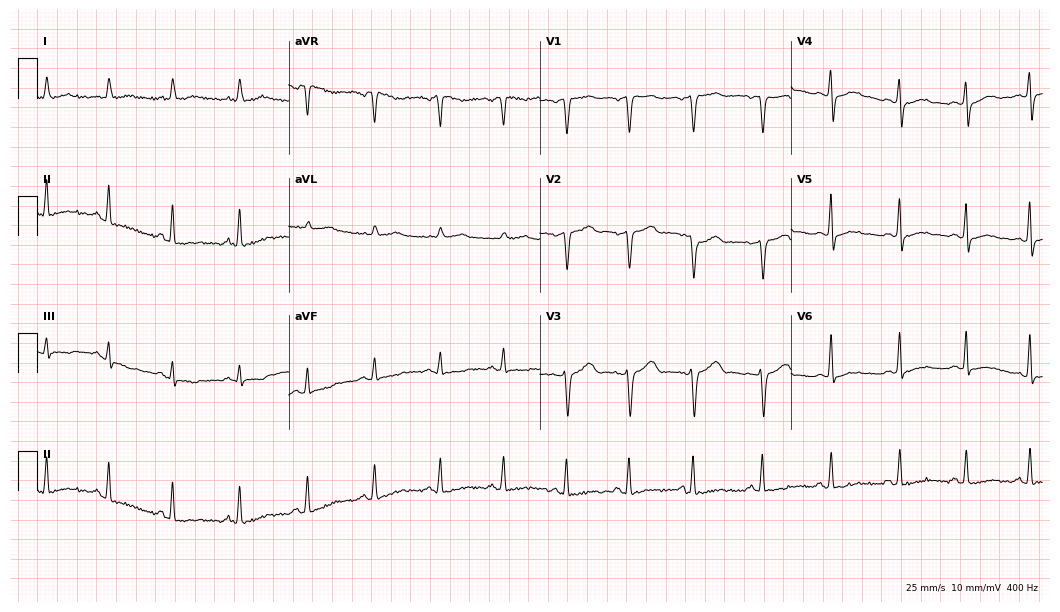
12-lead ECG from a 49-year-old female. No first-degree AV block, right bundle branch block (RBBB), left bundle branch block (LBBB), sinus bradycardia, atrial fibrillation (AF) or sinus tachycardia recorded for this tracing.